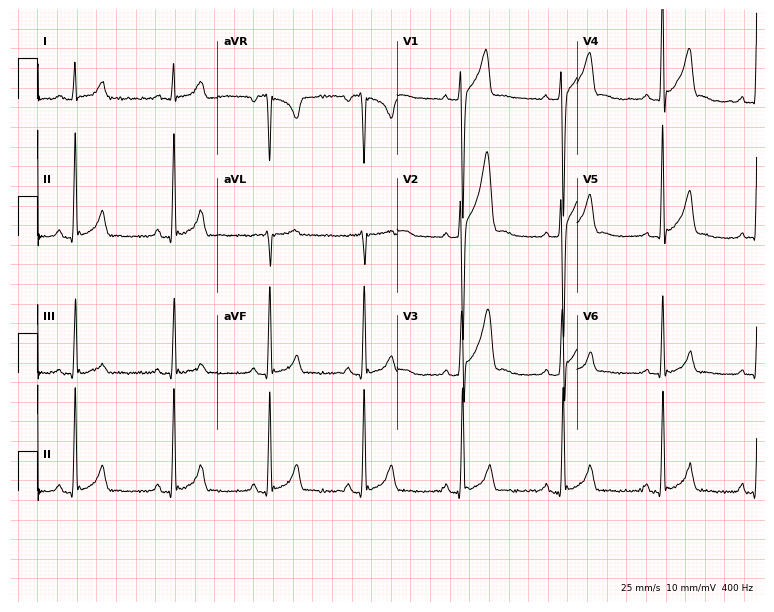
Resting 12-lead electrocardiogram. Patient: a 25-year-old male. Read as a normal ECG.